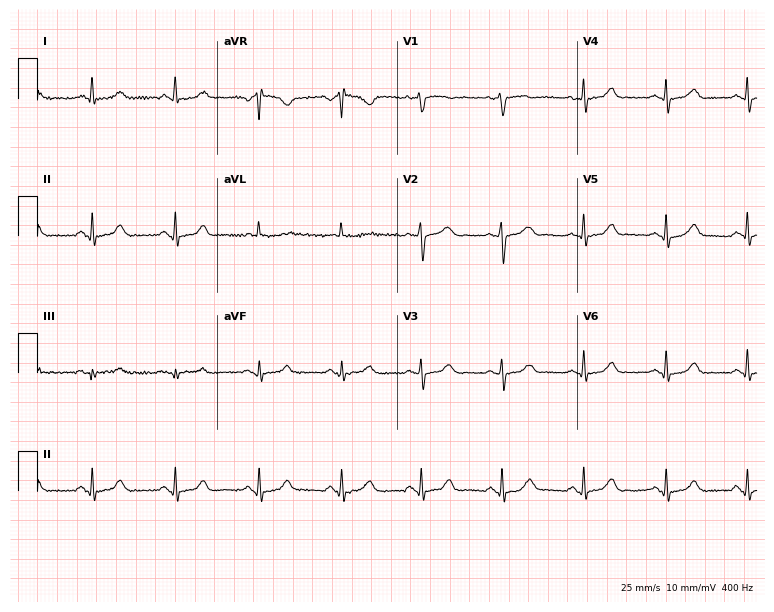
Resting 12-lead electrocardiogram (7.3-second recording at 400 Hz). Patient: a female, 63 years old. Read as a normal ECG.